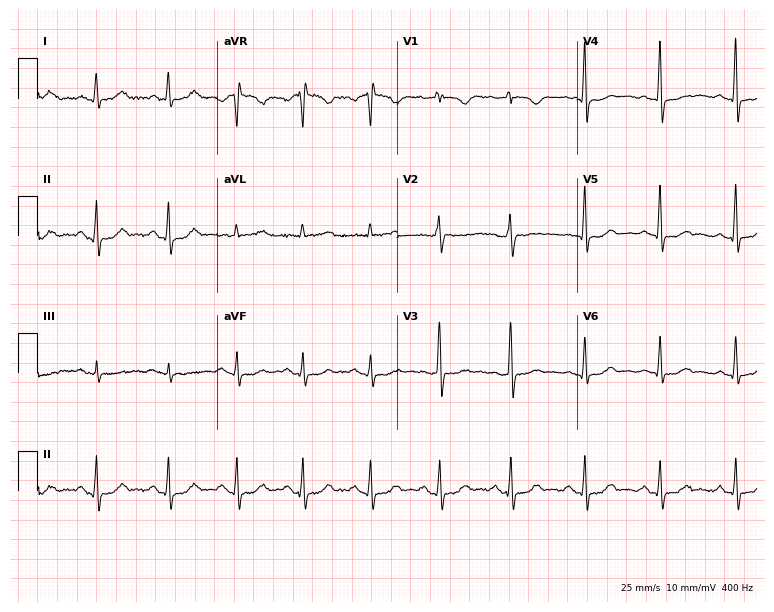
12-lead ECG from a 55-year-old female. Recorded interpretation: within normal limits.